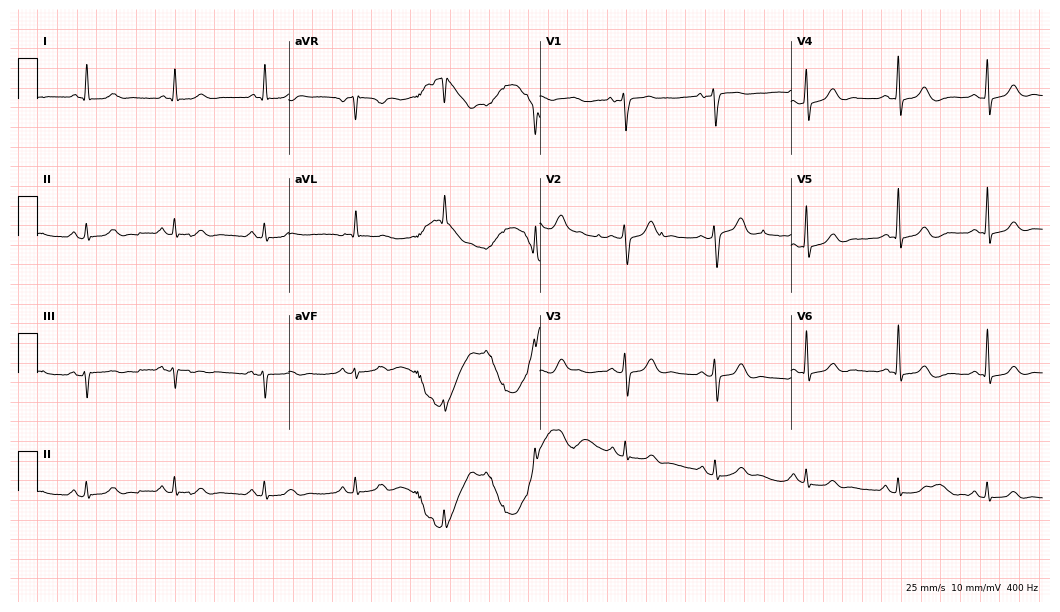
Resting 12-lead electrocardiogram. Patient: an 84-year-old female. Read as a normal ECG.